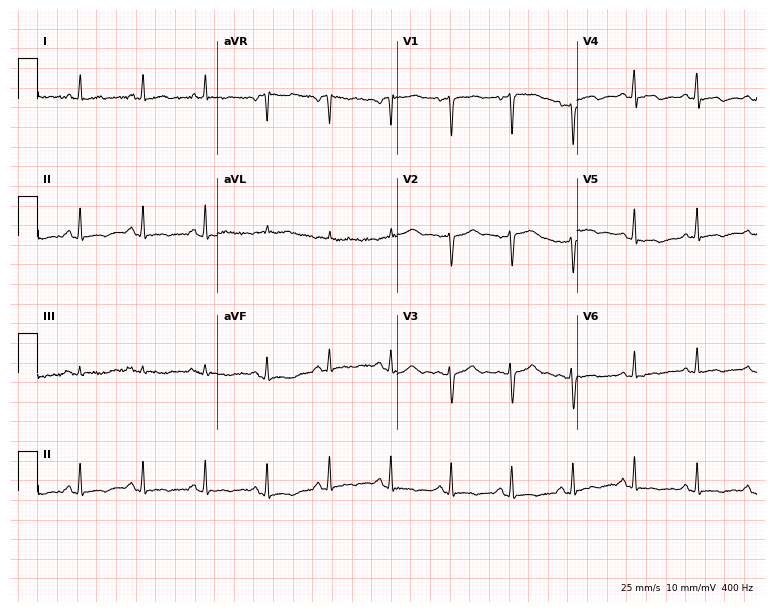
12-lead ECG from a female patient, 59 years old. Screened for six findings — first-degree AV block, right bundle branch block, left bundle branch block, sinus bradycardia, atrial fibrillation, sinus tachycardia — none is recorded.